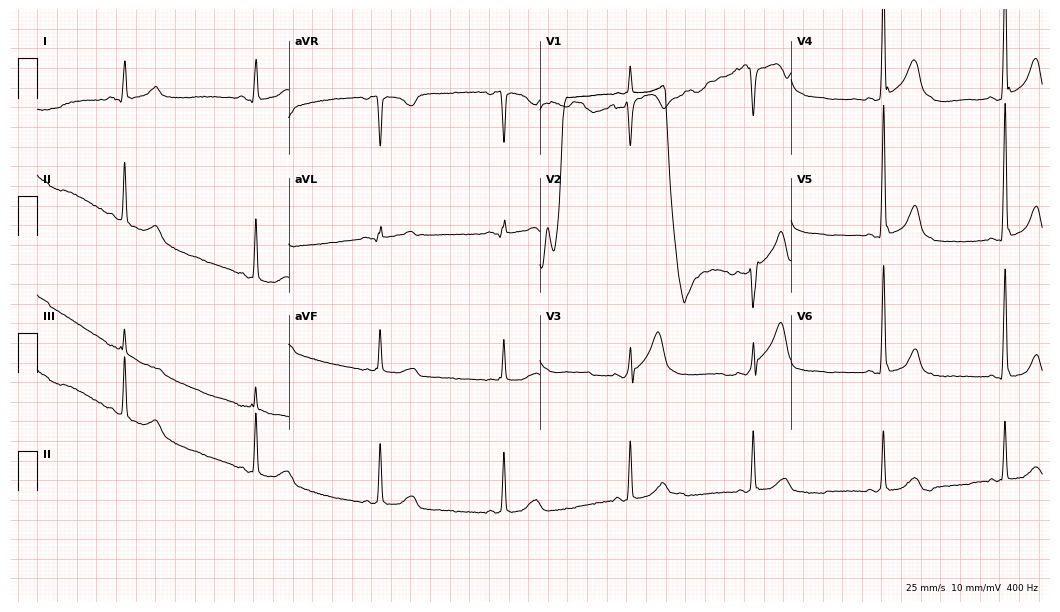
Electrocardiogram (10.2-second recording at 400 Hz), a male, 29 years old. Of the six screened findings (first-degree AV block, right bundle branch block, left bundle branch block, sinus bradycardia, atrial fibrillation, sinus tachycardia), none is recorded. Findings outside these six are not listed.